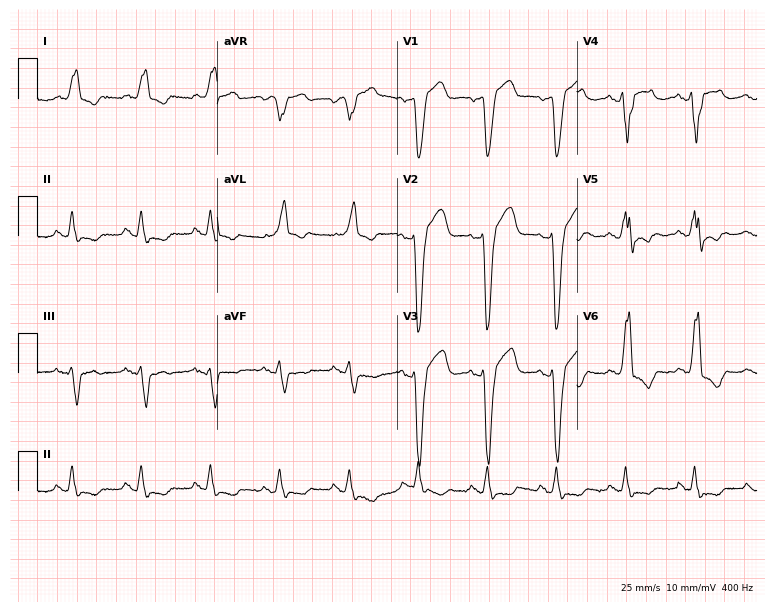
12-lead ECG from a male, 74 years old. Shows left bundle branch block.